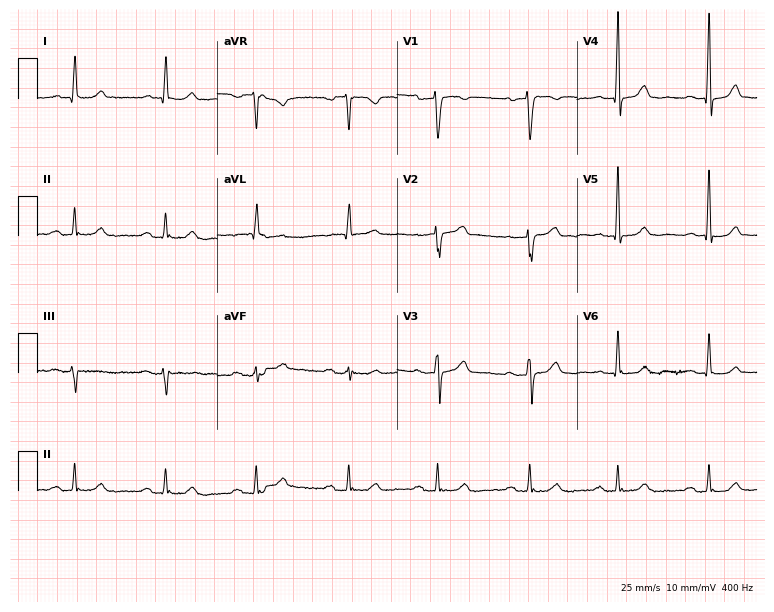
Electrocardiogram (7.3-second recording at 400 Hz), a 70-year-old male patient. Interpretation includes first-degree AV block.